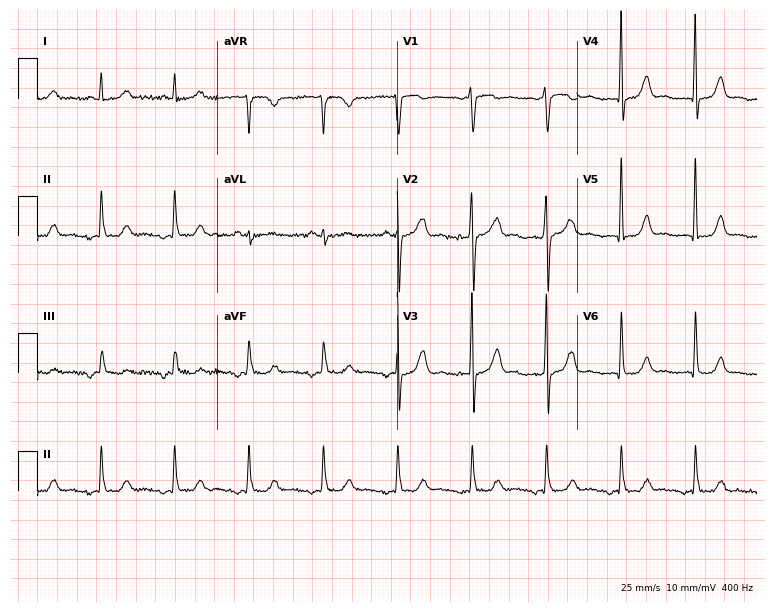
ECG (7.3-second recording at 400 Hz) — a male, 58 years old. Screened for six findings — first-degree AV block, right bundle branch block (RBBB), left bundle branch block (LBBB), sinus bradycardia, atrial fibrillation (AF), sinus tachycardia — none is recorded.